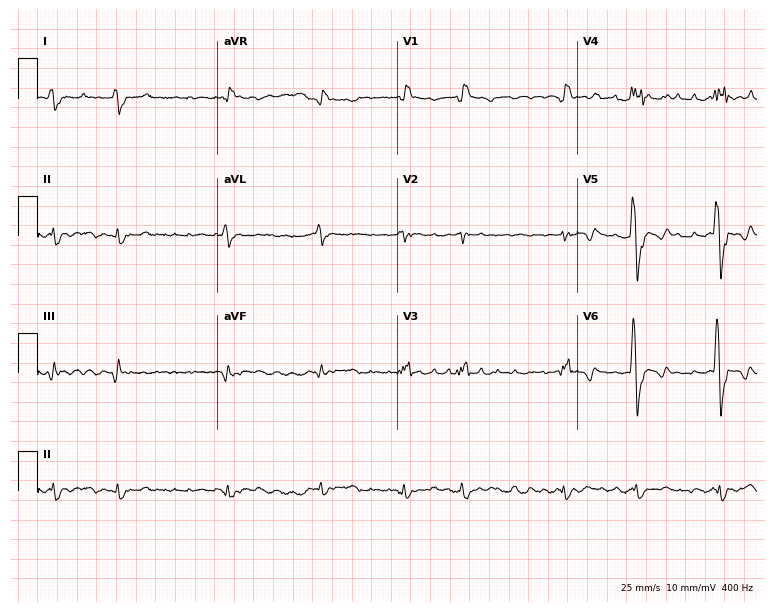
Electrocardiogram (7.3-second recording at 400 Hz), a male patient, 58 years old. Interpretation includes right bundle branch block, atrial fibrillation.